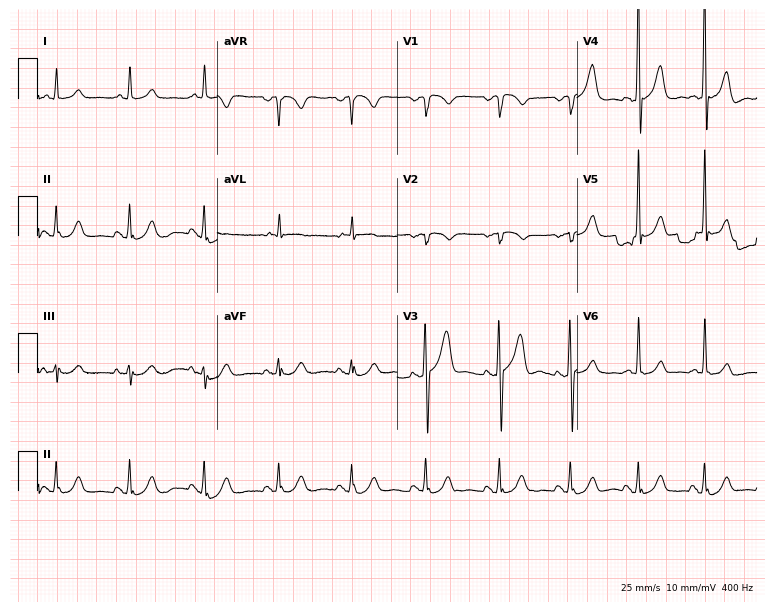
Standard 12-lead ECG recorded from a 62-year-old man (7.3-second recording at 400 Hz). None of these six findings is recorded: first-degree AV block, right bundle branch block (RBBB), left bundle branch block (LBBB), sinus bradycardia, atrial fibrillation (AF), sinus tachycardia. Other findings, if any, are not listed.